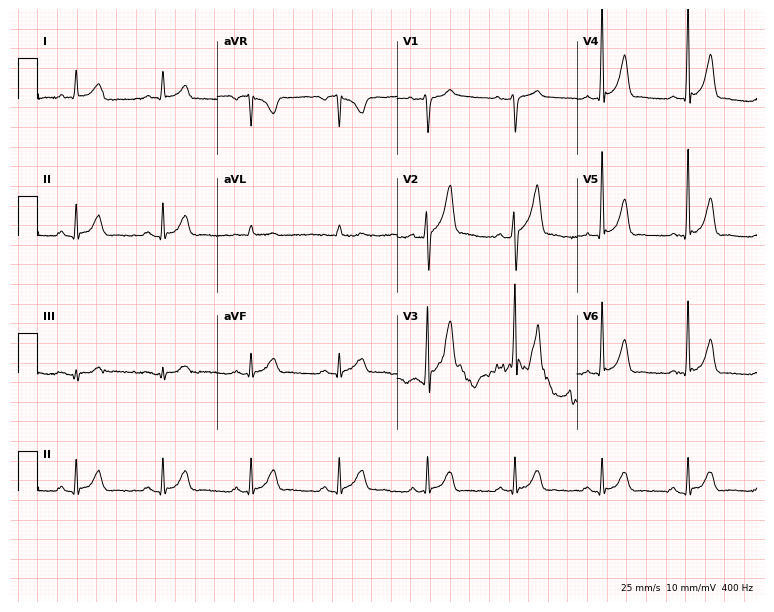
12-lead ECG from a 68-year-old male patient (7.3-second recording at 400 Hz). No first-degree AV block, right bundle branch block, left bundle branch block, sinus bradycardia, atrial fibrillation or sinus tachycardia recorded for this tracing. Only these six findings were labelled.